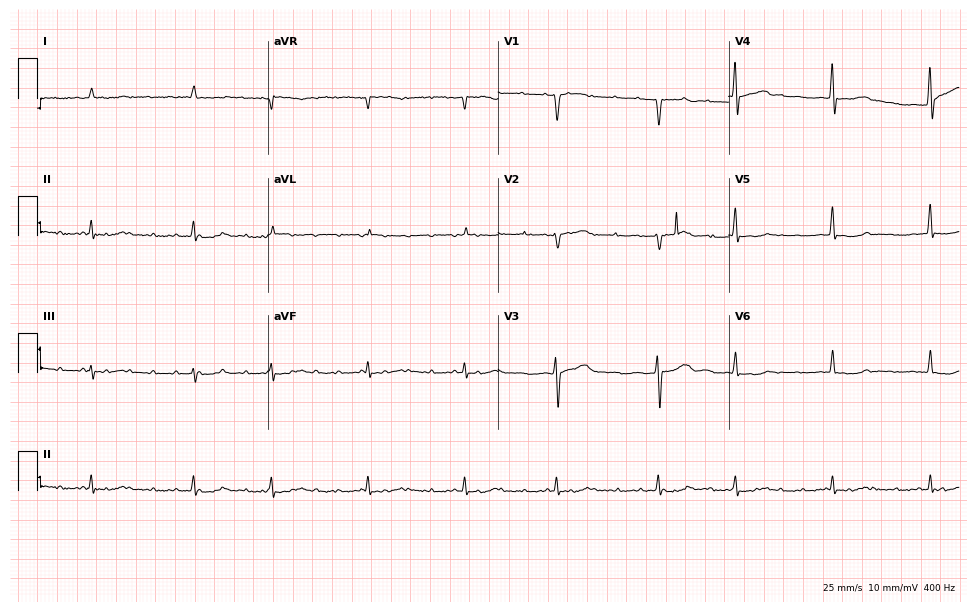
12-lead ECG from a male, 75 years old. Findings include atrial fibrillation (AF).